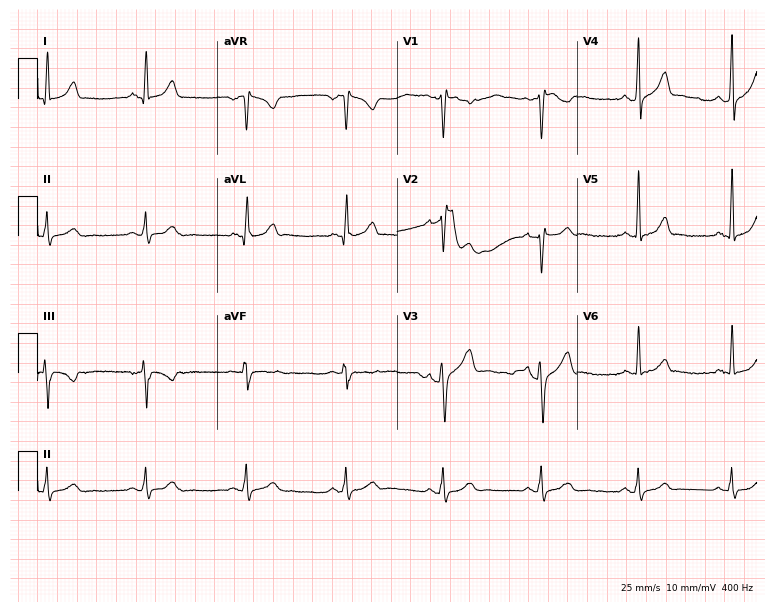
Resting 12-lead electrocardiogram. Patient: a 27-year-old male. None of these six findings is recorded: first-degree AV block, right bundle branch block, left bundle branch block, sinus bradycardia, atrial fibrillation, sinus tachycardia.